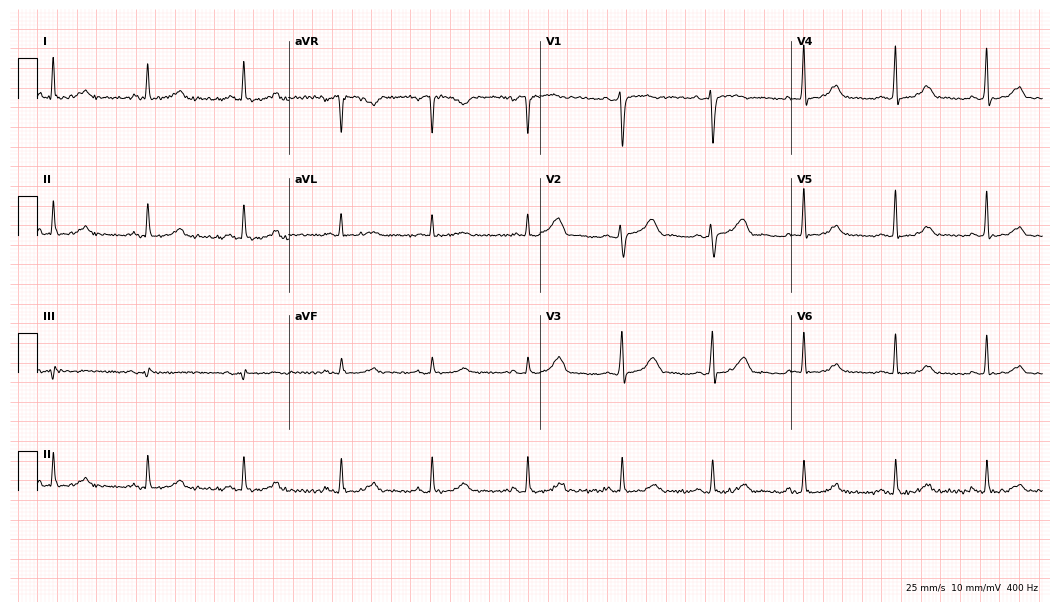
12-lead ECG from a 45-year-old female patient. Labelled as a normal ECG.